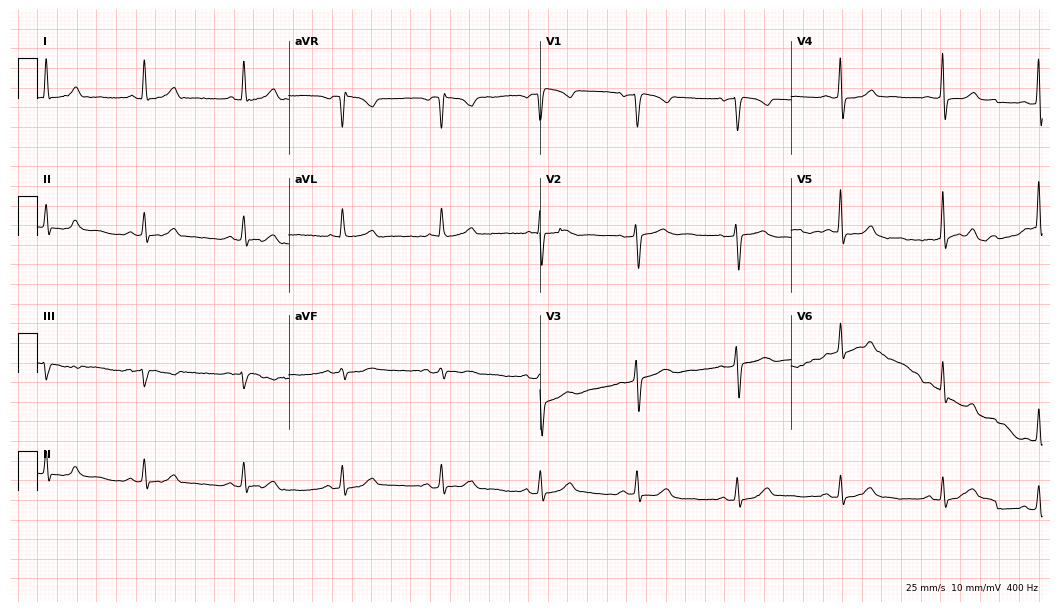
12-lead ECG from a 49-year-old woman. Recorded interpretation: within normal limits.